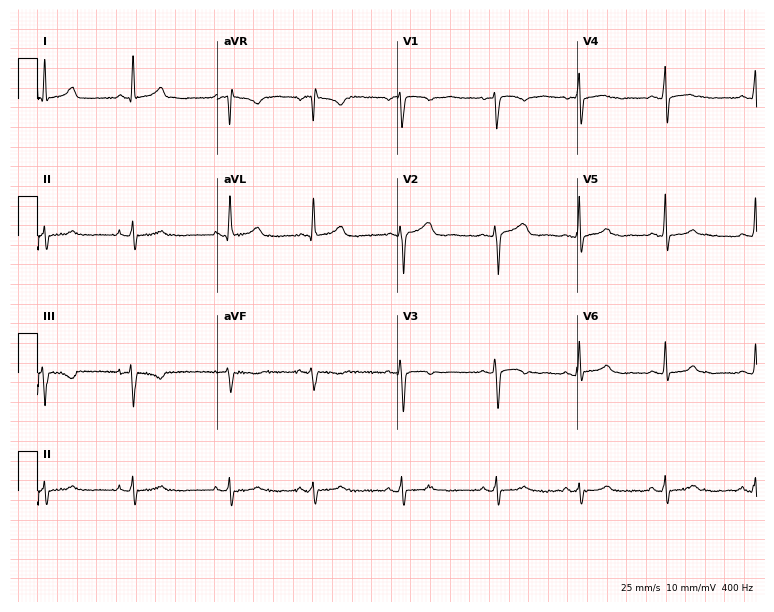
12-lead ECG (7.3-second recording at 400 Hz) from a woman, 39 years old. Screened for six findings — first-degree AV block, right bundle branch block, left bundle branch block, sinus bradycardia, atrial fibrillation, sinus tachycardia — none is recorded.